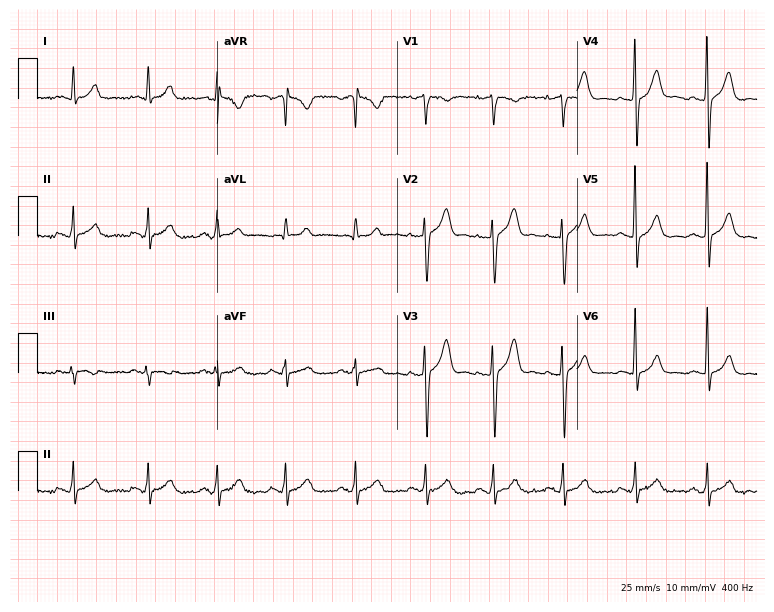
Standard 12-lead ECG recorded from a 25-year-old male (7.3-second recording at 400 Hz). None of these six findings is recorded: first-degree AV block, right bundle branch block (RBBB), left bundle branch block (LBBB), sinus bradycardia, atrial fibrillation (AF), sinus tachycardia.